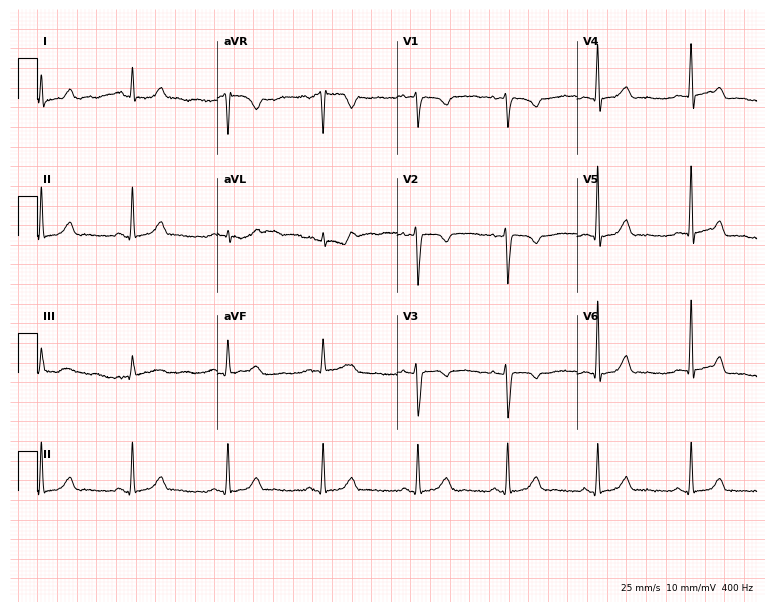
12-lead ECG from a woman, 42 years old (7.3-second recording at 400 Hz). Recorded interpretation: within normal limits.